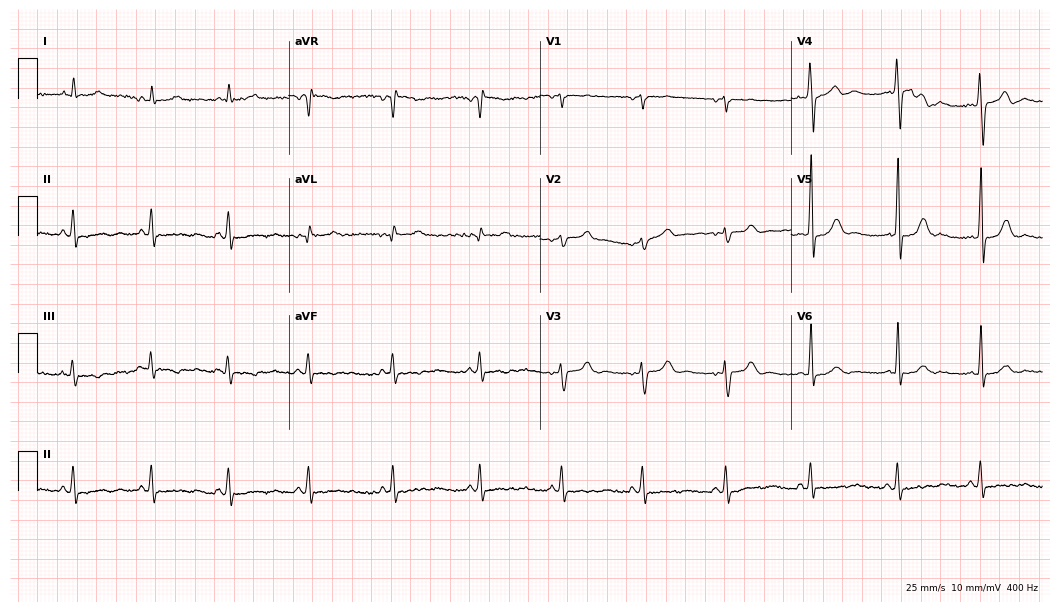
Resting 12-lead electrocardiogram. Patient: a 26-year-old female. Read as a normal ECG.